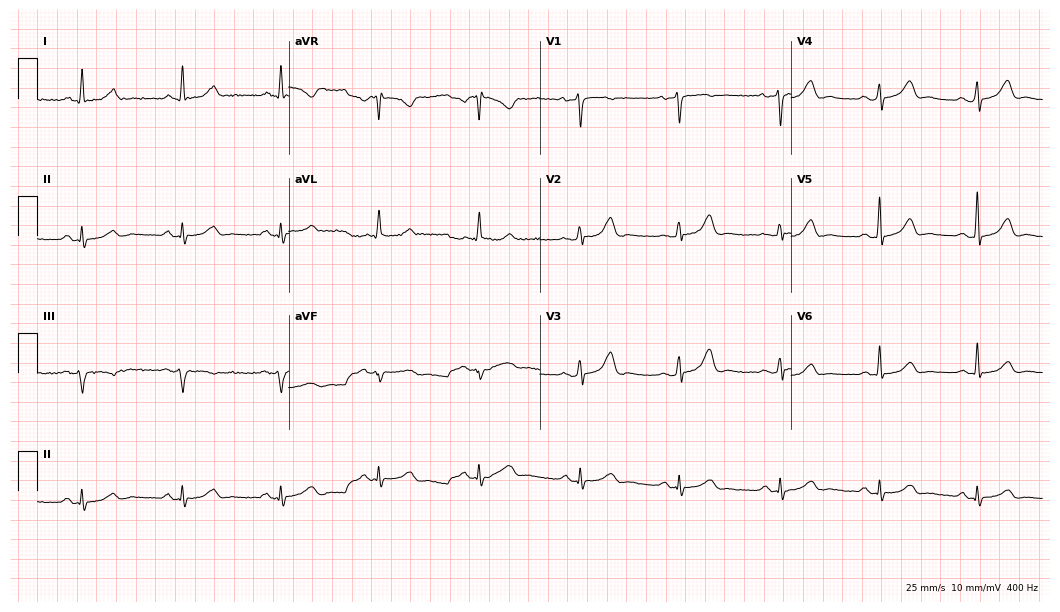
Resting 12-lead electrocardiogram. Patient: a woman, 60 years old. Read as a normal ECG.